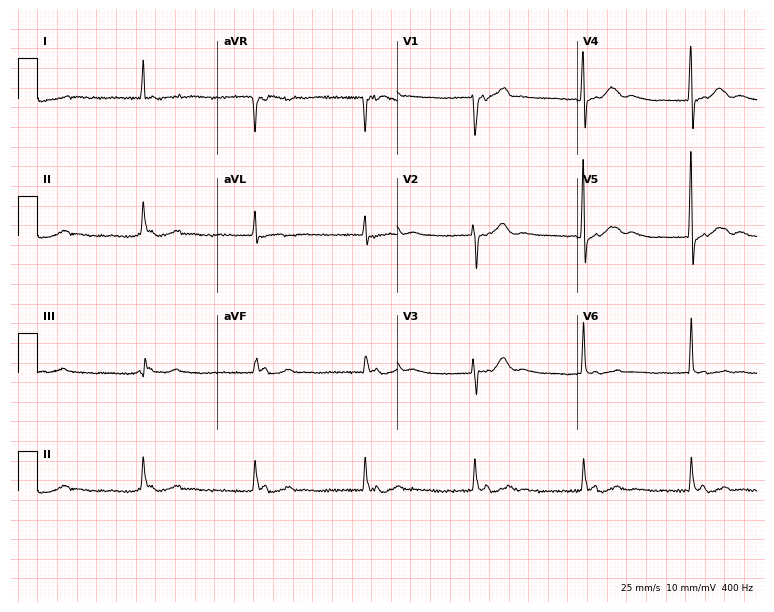
Resting 12-lead electrocardiogram. Patient: a male, 71 years old. None of these six findings is recorded: first-degree AV block, right bundle branch block, left bundle branch block, sinus bradycardia, atrial fibrillation, sinus tachycardia. Other findings, if any, are not listed.